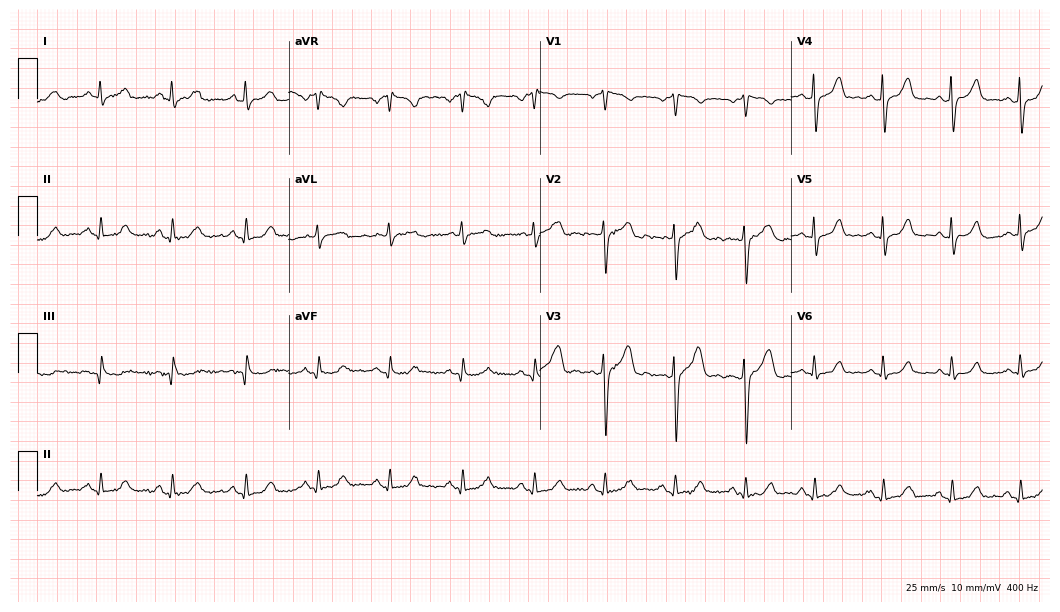
Resting 12-lead electrocardiogram (10.2-second recording at 400 Hz). Patient: a female, 45 years old. Read as a normal ECG.